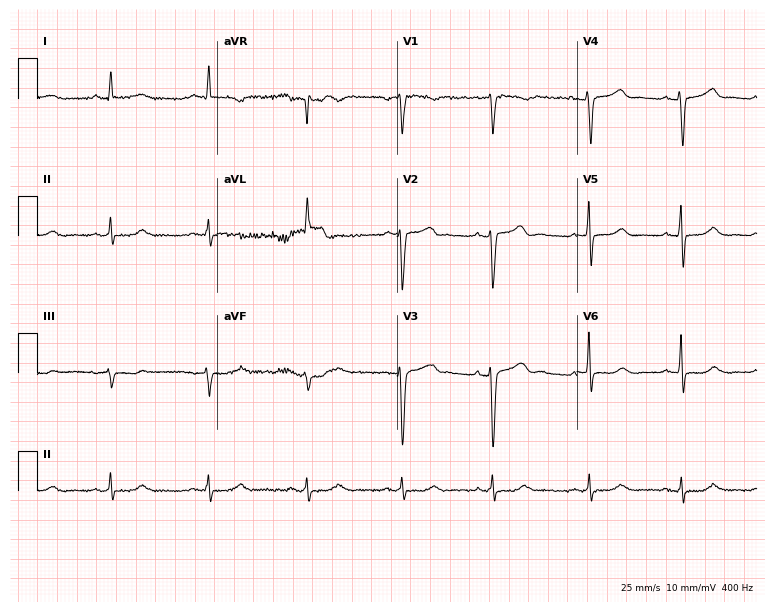
ECG (7.3-second recording at 400 Hz) — a 61-year-old woman. Screened for six findings — first-degree AV block, right bundle branch block, left bundle branch block, sinus bradycardia, atrial fibrillation, sinus tachycardia — none is recorded. Findings outside these six are not listed.